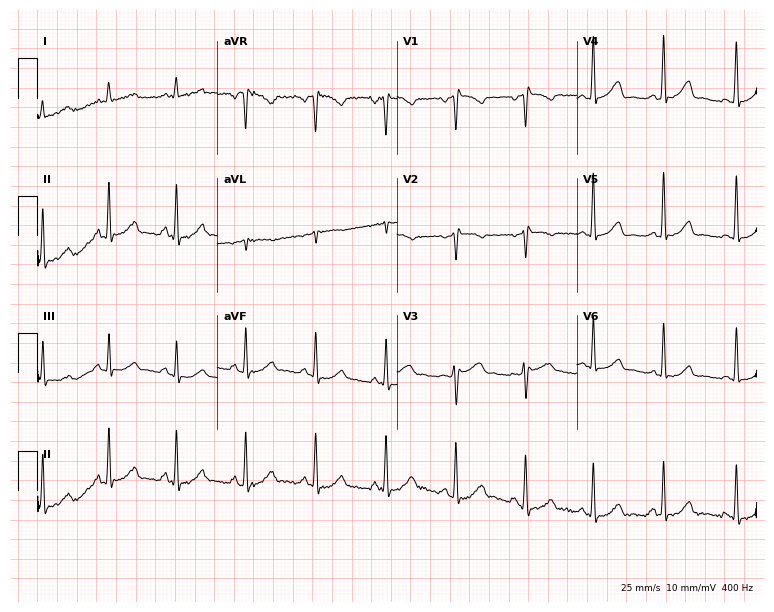
ECG (7.3-second recording at 400 Hz) — a 47-year-old woman. Screened for six findings — first-degree AV block, right bundle branch block (RBBB), left bundle branch block (LBBB), sinus bradycardia, atrial fibrillation (AF), sinus tachycardia — none is recorded.